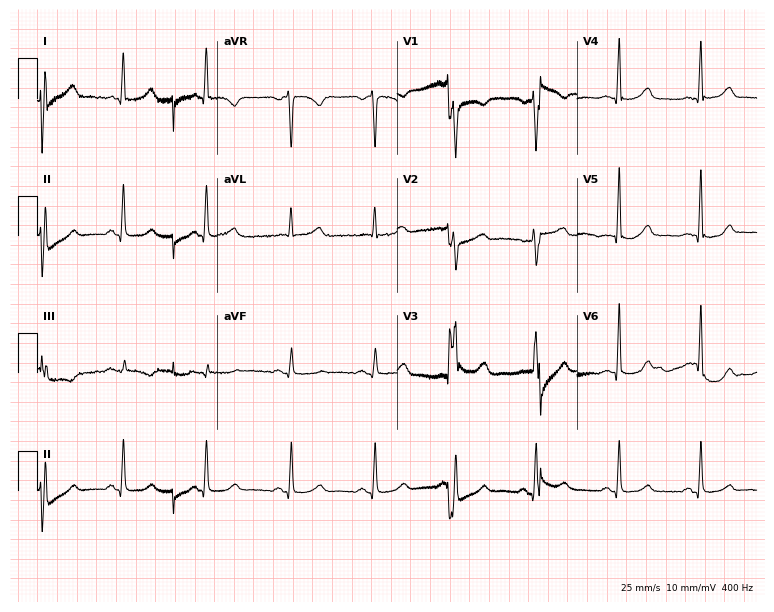
ECG — a woman, 59 years old. Labelled as a normal ECG.